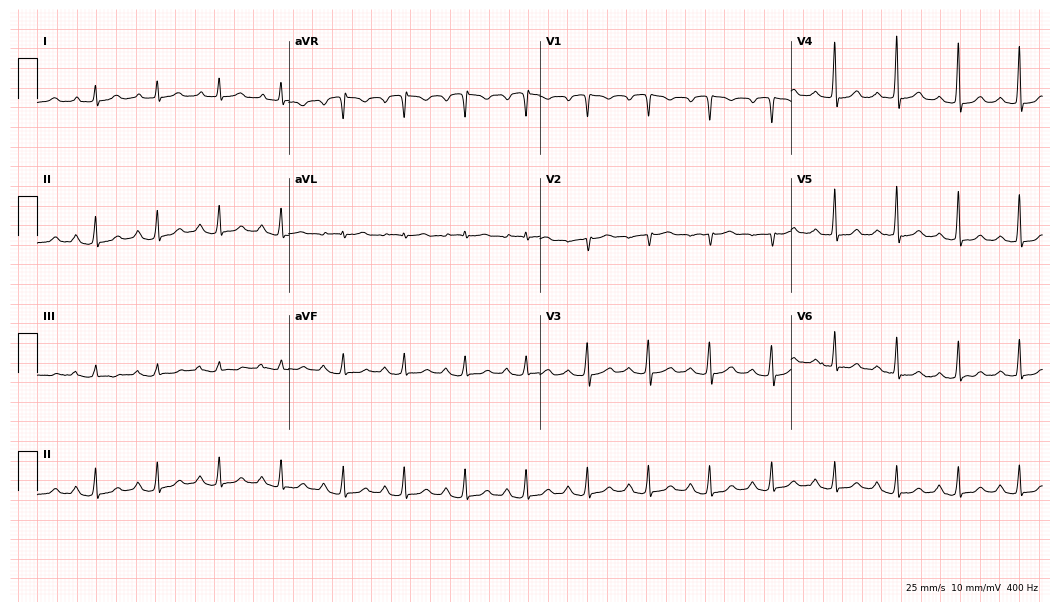
Electrocardiogram (10.2-second recording at 400 Hz), a female, 48 years old. Interpretation includes first-degree AV block.